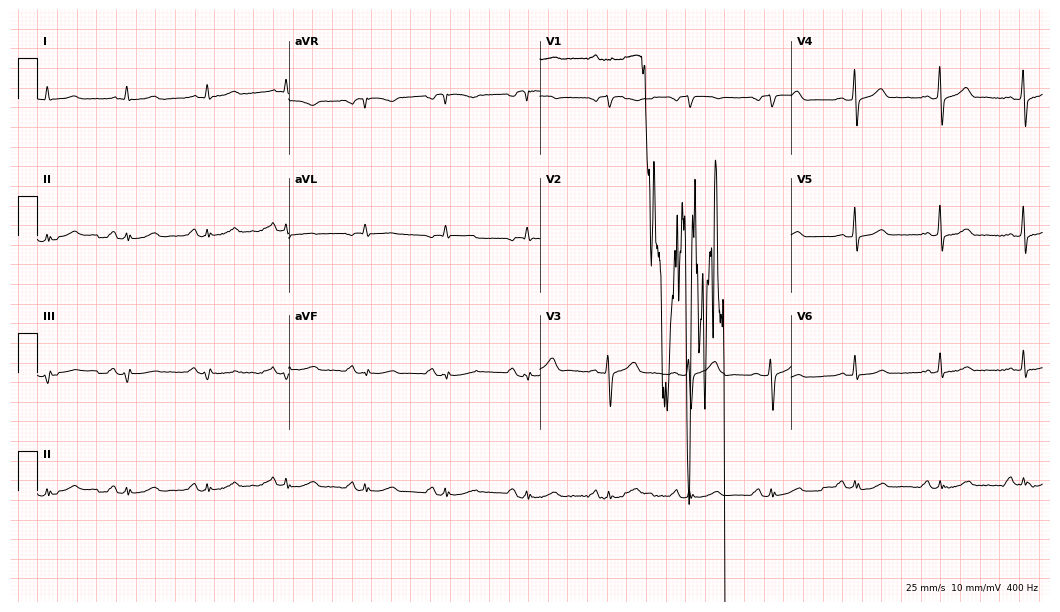
12-lead ECG from a 70-year-old male. No first-degree AV block, right bundle branch block, left bundle branch block, sinus bradycardia, atrial fibrillation or sinus tachycardia recorded for this tracing. Findings outside these six are not listed.